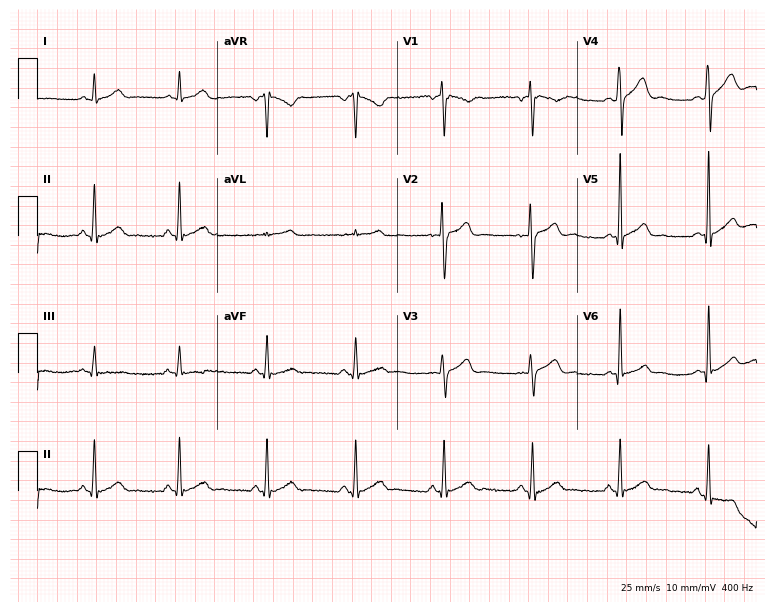
12-lead ECG (7.3-second recording at 400 Hz) from a 23-year-old male. Labelled as a normal ECG.